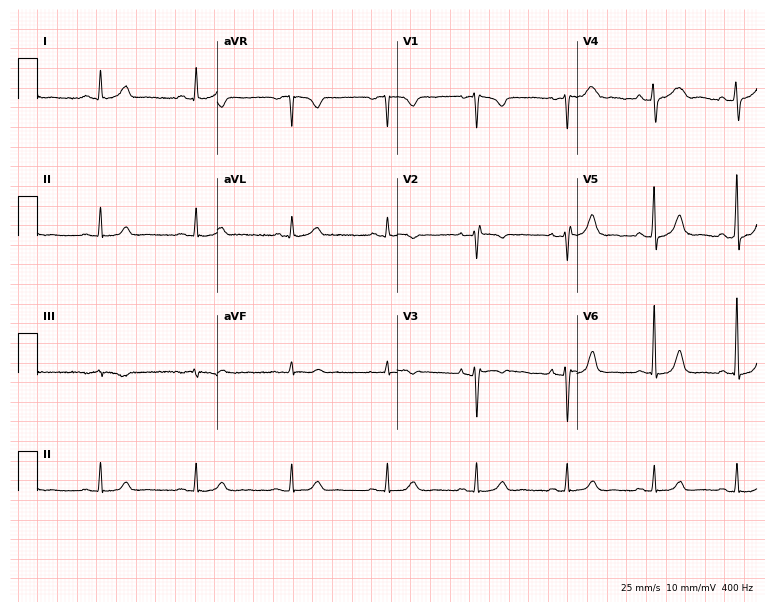
Standard 12-lead ECG recorded from a female, 49 years old. Read as a normal ECG.